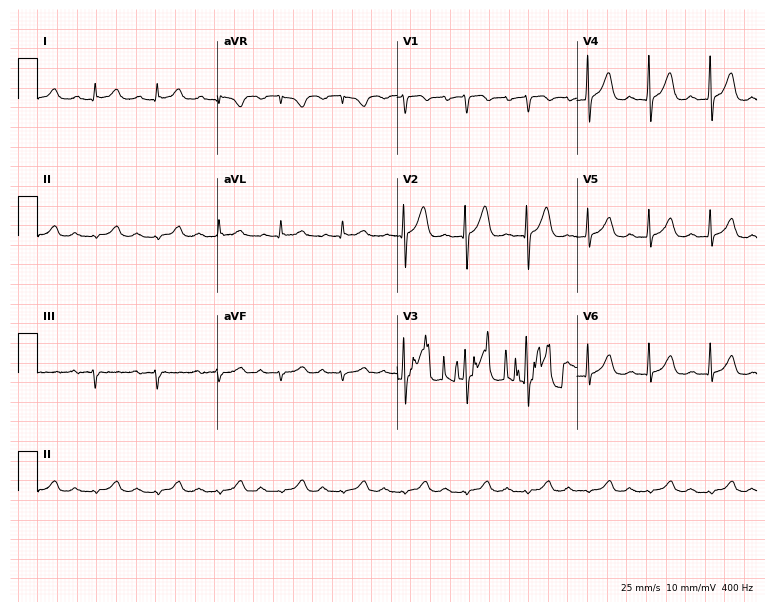
ECG (7.3-second recording at 400 Hz) — a 78-year-old male patient. Labelled as a normal ECG.